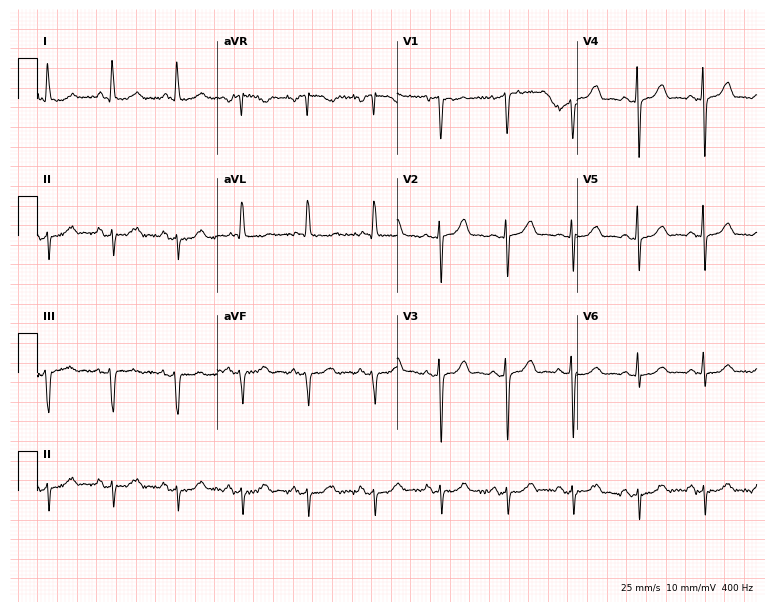
Electrocardiogram (7.3-second recording at 400 Hz), a 69-year-old female. Overall reading on record: normal ECG.